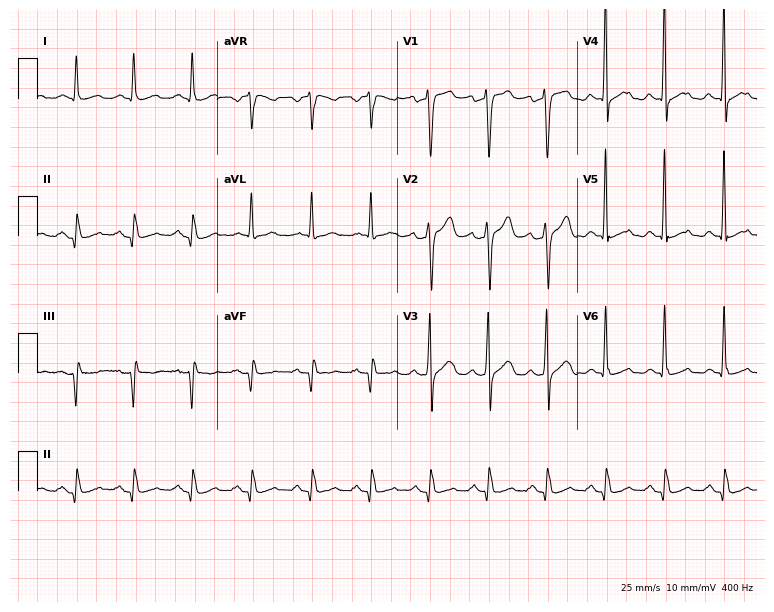
12-lead ECG from a 59-year-old man. Shows sinus tachycardia (a sinus rate of 100 beats per minute or more).